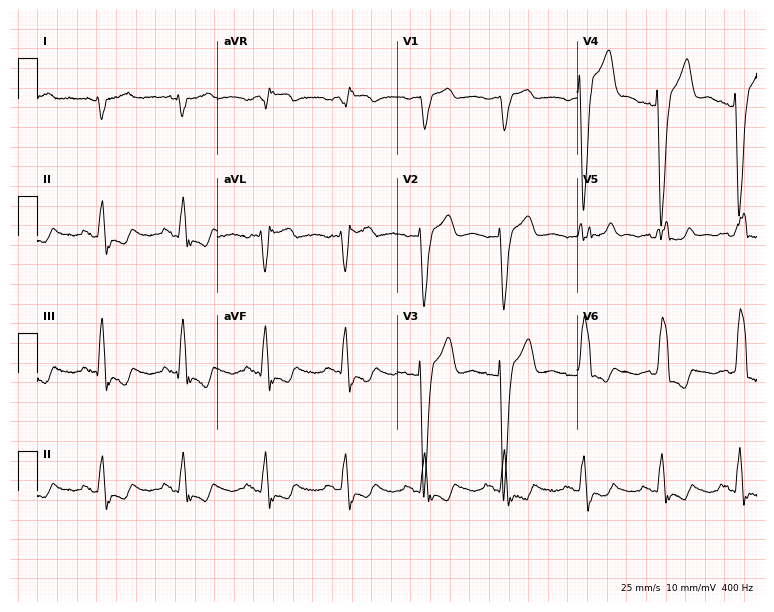
12-lead ECG (7.3-second recording at 400 Hz) from a 75-year-old male patient. Findings include left bundle branch block.